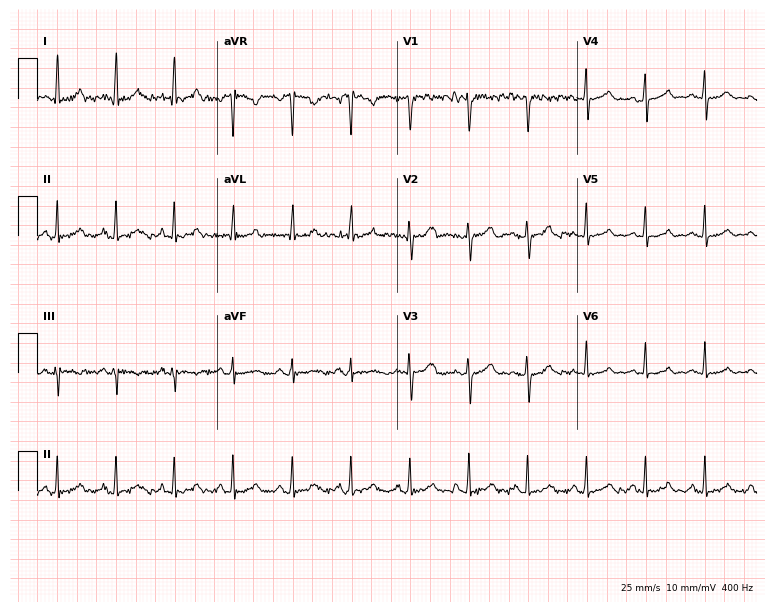
Standard 12-lead ECG recorded from a female patient, 24 years old. None of these six findings is recorded: first-degree AV block, right bundle branch block (RBBB), left bundle branch block (LBBB), sinus bradycardia, atrial fibrillation (AF), sinus tachycardia. Findings outside these six are not listed.